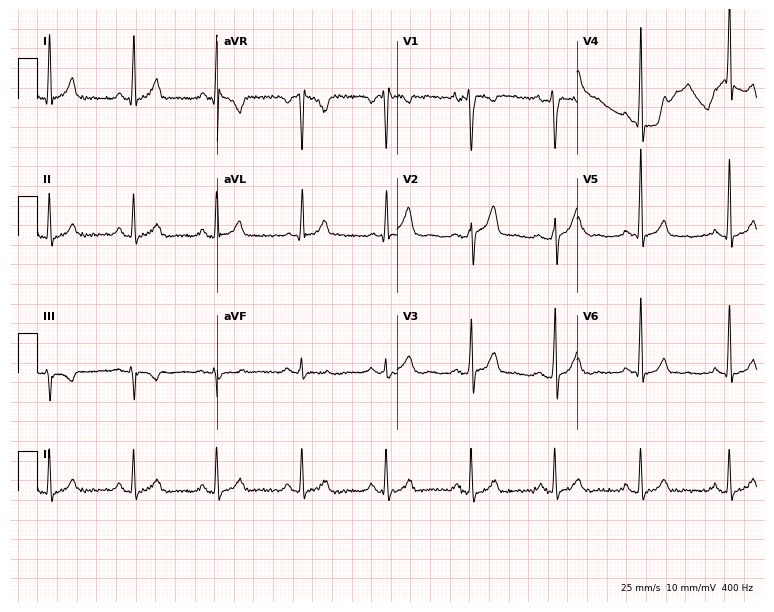
12-lead ECG from a male, 34 years old. Screened for six findings — first-degree AV block, right bundle branch block (RBBB), left bundle branch block (LBBB), sinus bradycardia, atrial fibrillation (AF), sinus tachycardia — none is recorded. Only these six findings were labelled.